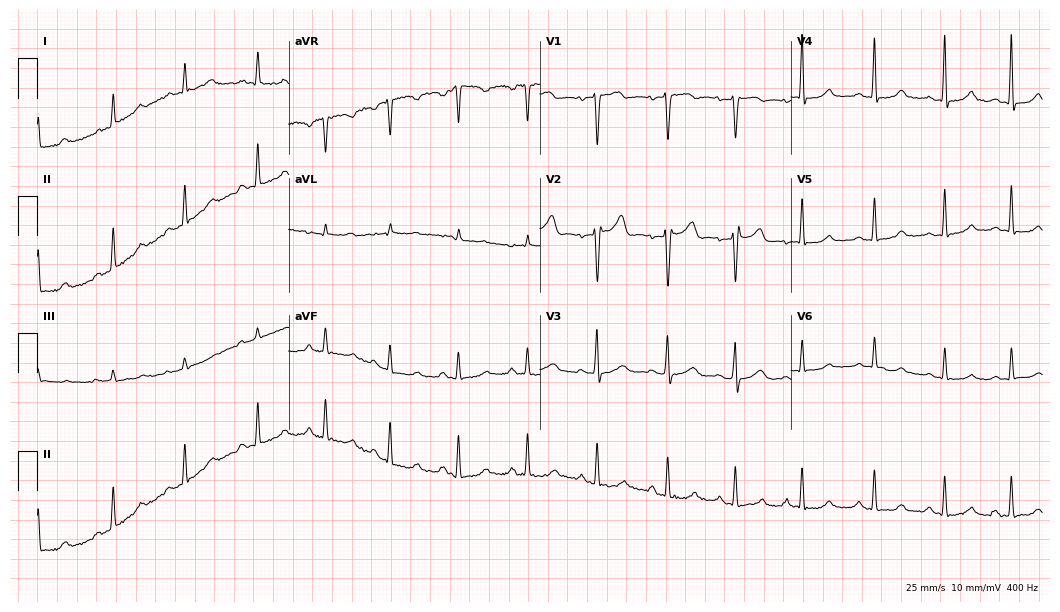
12-lead ECG from a 42-year-old female patient. Recorded interpretation: within normal limits.